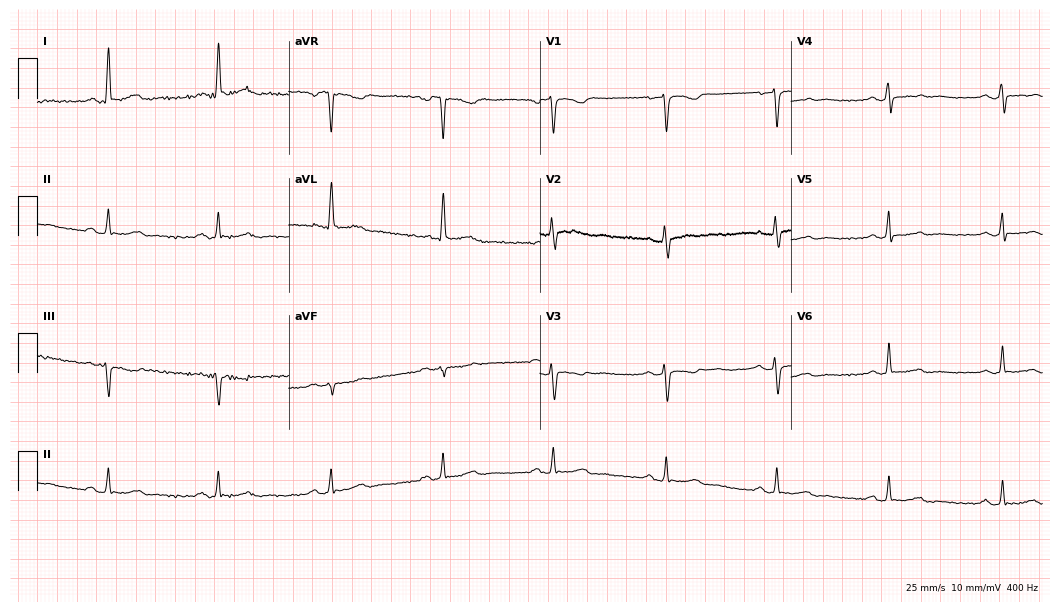
Standard 12-lead ECG recorded from a 58-year-old female patient (10.2-second recording at 400 Hz). None of these six findings is recorded: first-degree AV block, right bundle branch block (RBBB), left bundle branch block (LBBB), sinus bradycardia, atrial fibrillation (AF), sinus tachycardia.